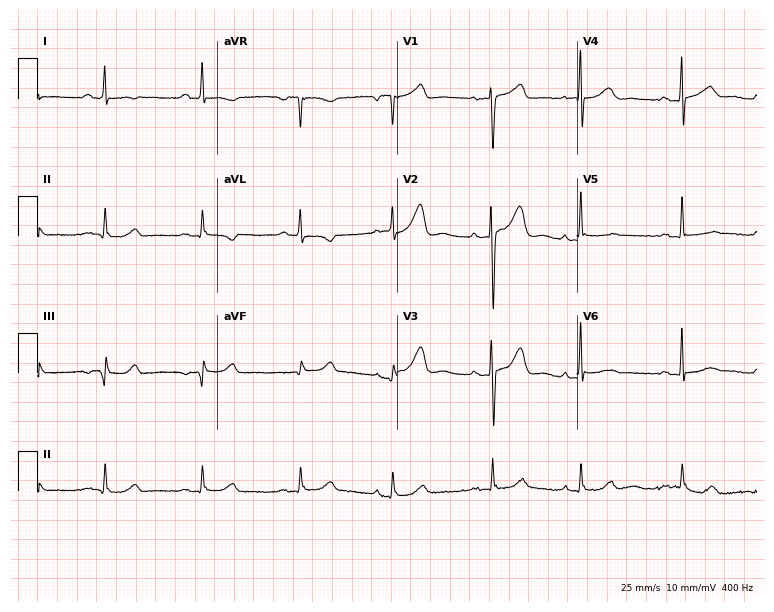
Electrocardiogram, a 62-year-old female. Of the six screened findings (first-degree AV block, right bundle branch block, left bundle branch block, sinus bradycardia, atrial fibrillation, sinus tachycardia), none is recorded.